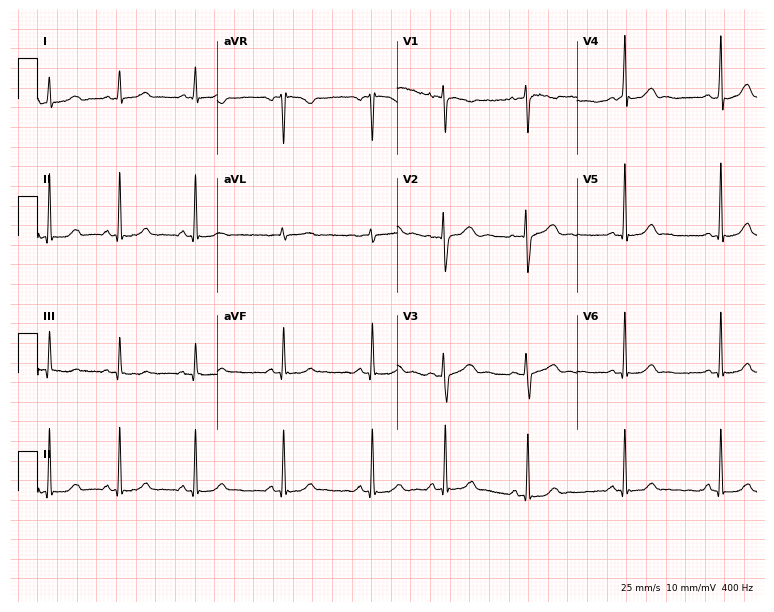
Standard 12-lead ECG recorded from a female, 23 years old (7.3-second recording at 400 Hz). Read as a normal ECG.